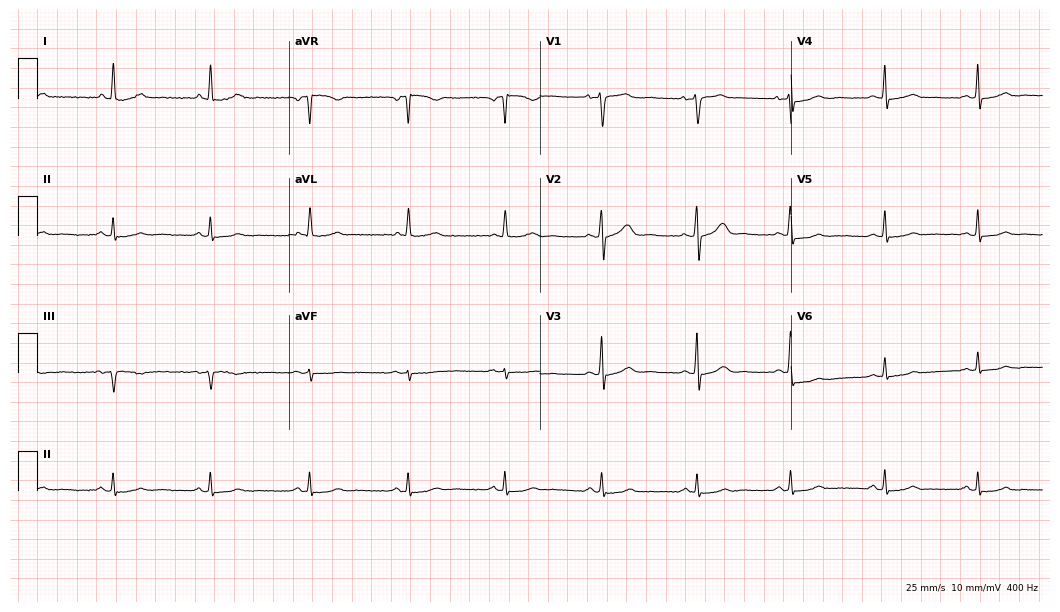
Resting 12-lead electrocardiogram (10.2-second recording at 400 Hz). Patient: a 56-year-old female. None of these six findings is recorded: first-degree AV block, right bundle branch block, left bundle branch block, sinus bradycardia, atrial fibrillation, sinus tachycardia.